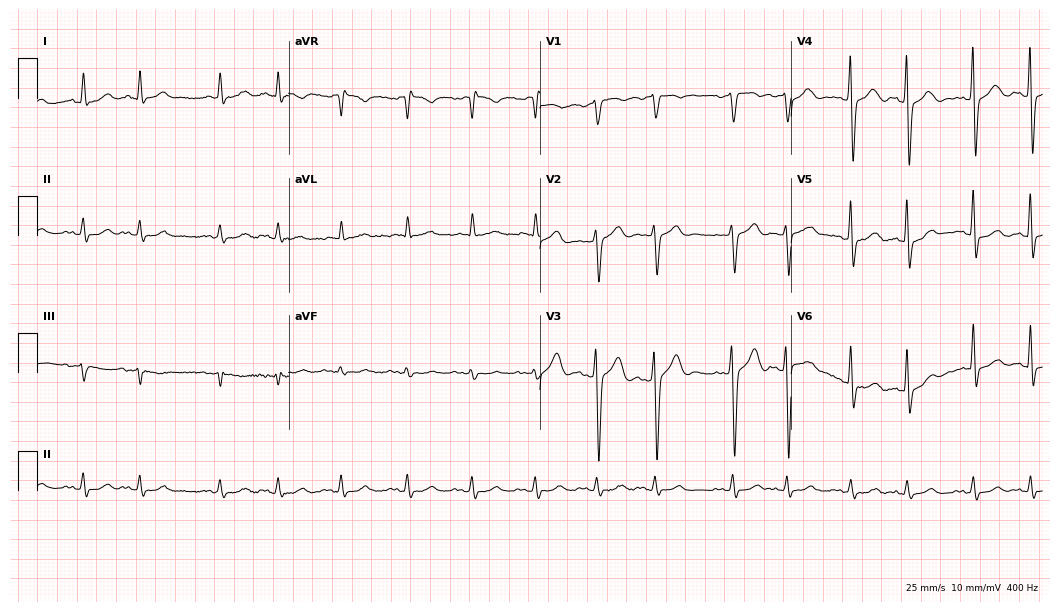
12-lead ECG from an 82-year-old male patient. No first-degree AV block, right bundle branch block, left bundle branch block, sinus bradycardia, atrial fibrillation or sinus tachycardia recorded for this tracing.